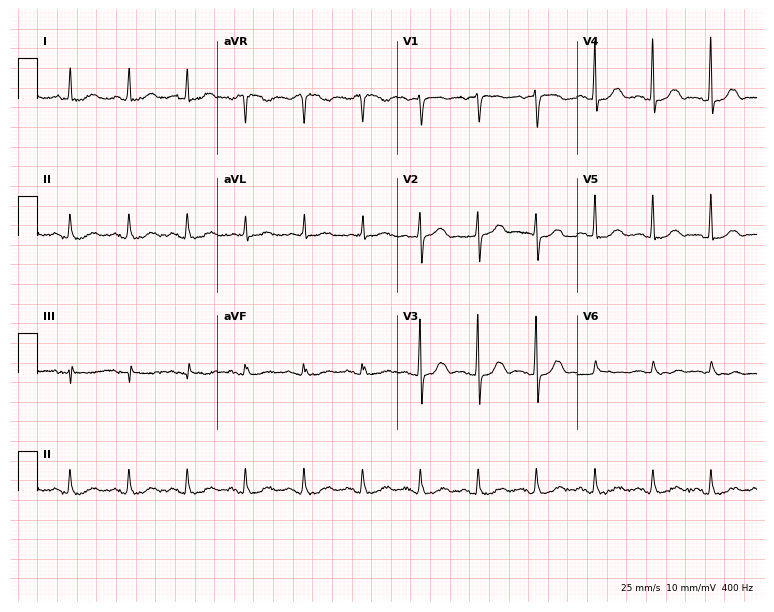
Electrocardiogram, a female patient, 85 years old. Interpretation includes sinus tachycardia (a sinus rate of 100 beats per minute or more).